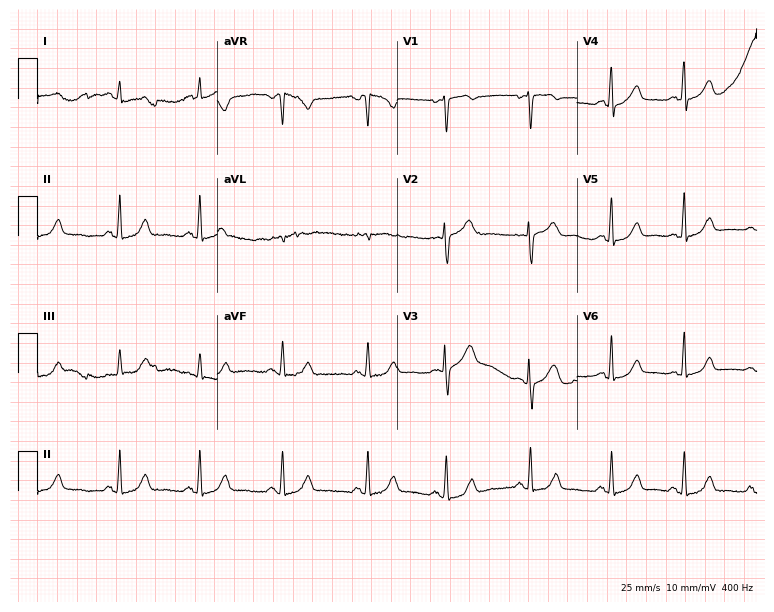
ECG (7.3-second recording at 400 Hz) — a male patient, 42 years old. Labelled as a normal ECG.